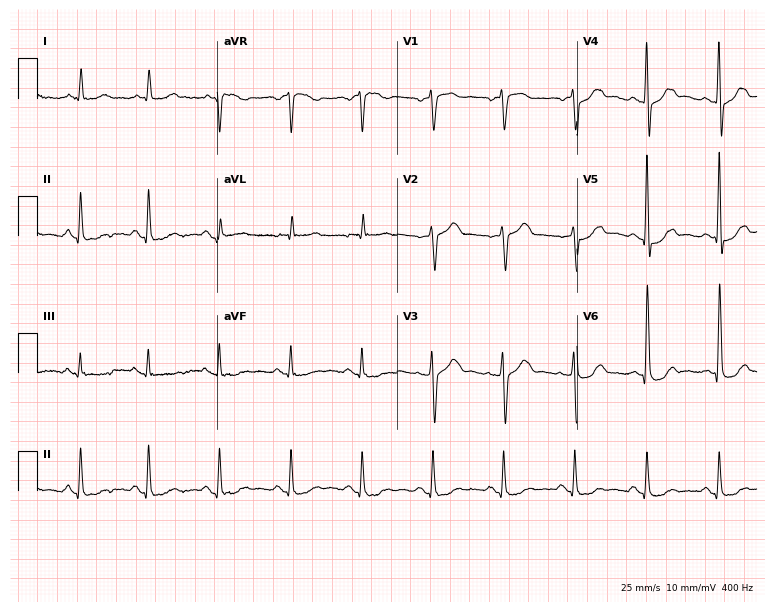
12-lead ECG from a man, 52 years old. No first-degree AV block, right bundle branch block (RBBB), left bundle branch block (LBBB), sinus bradycardia, atrial fibrillation (AF) or sinus tachycardia recorded for this tracing.